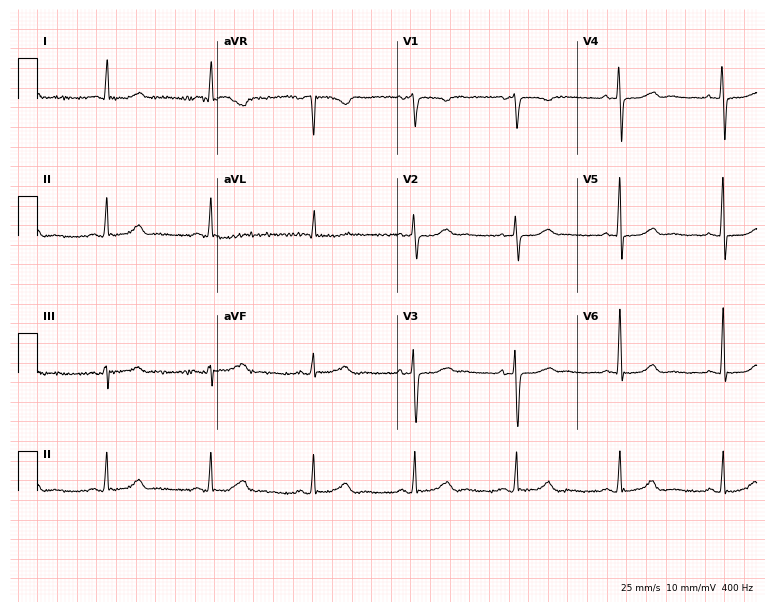
12-lead ECG from a female, 60 years old (7.3-second recording at 400 Hz). No first-degree AV block, right bundle branch block, left bundle branch block, sinus bradycardia, atrial fibrillation or sinus tachycardia recorded for this tracing.